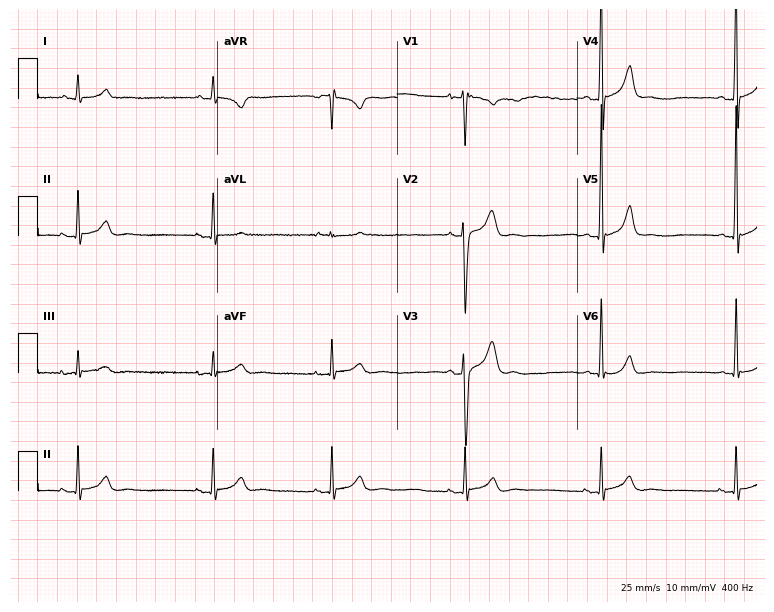
12-lead ECG from a man, 17 years old (7.3-second recording at 400 Hz). Shows sinus bradycardia (a sinus rate of 50 beats per minute or less).